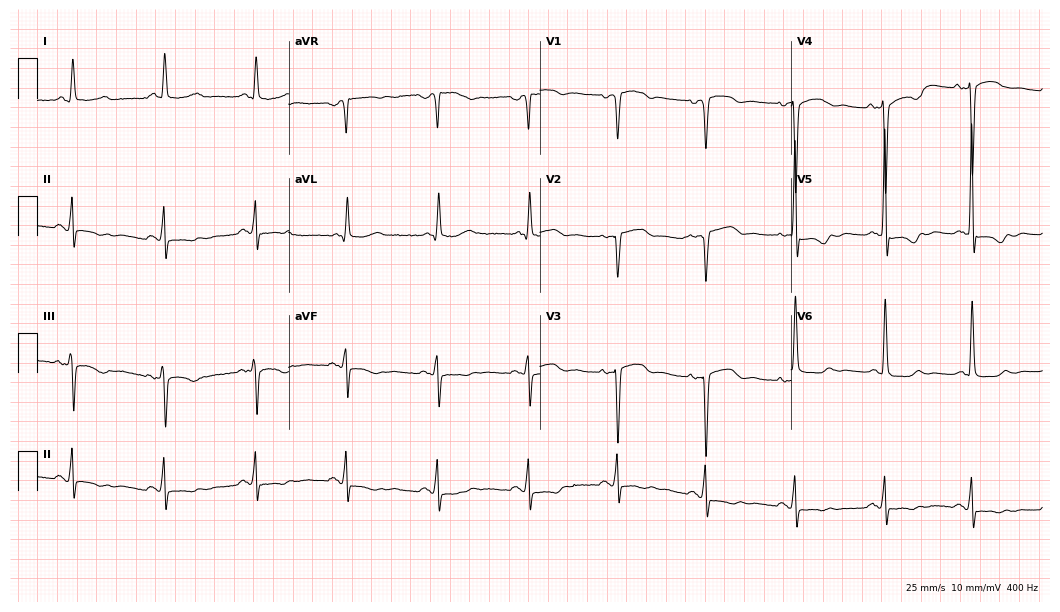
Standard 12-lead ECG recorded from a 75-year-old female patient. None of these six findings is recorded: first-degree AV block, right bundle branch block, left bundle branch block, sinus bradycardia, atrial fibrillation, sinus tachycardia.